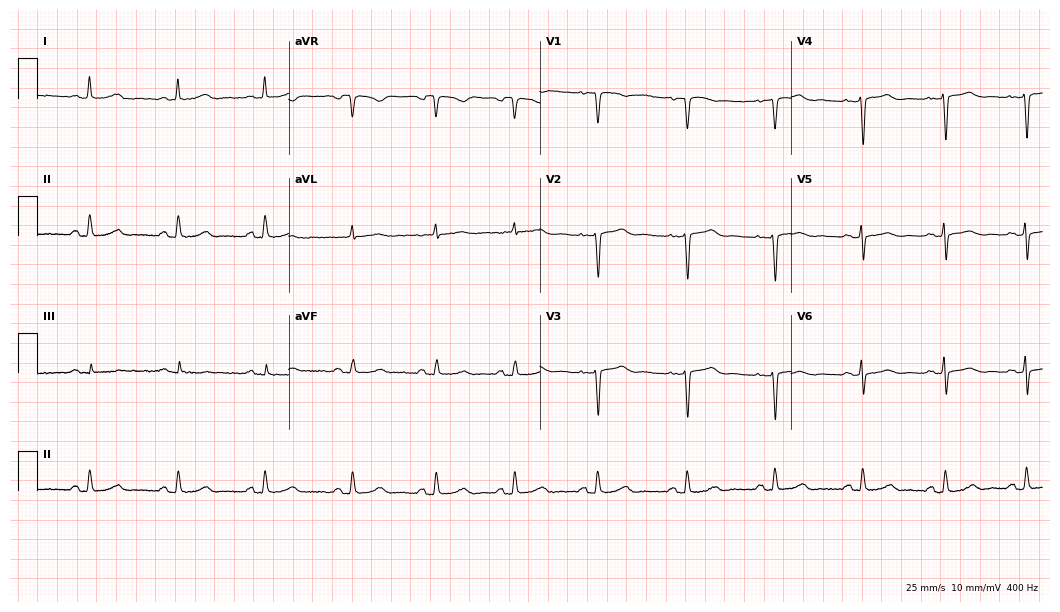
Standard 12-lead ECG recorded from a woman, 47 years old. None of these six findings is recorded: first-degree AV block, right bundle branch block, left bundle branch block, sinus bradycardia, atrial fibrillation, sinus tachycardia.